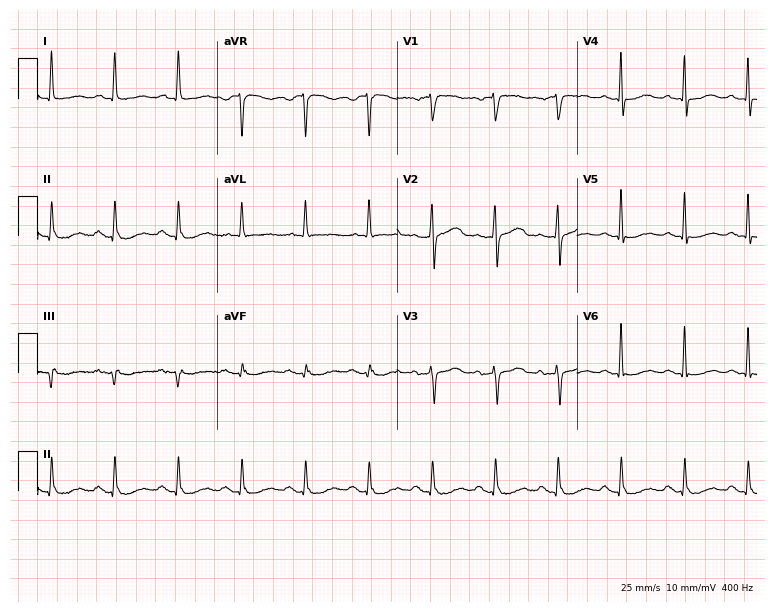
Resting 12-lead electrocardiogram (7.3-second recording at 400 Hz). Patient: a 62-year-old female. Read as a normal ECG.